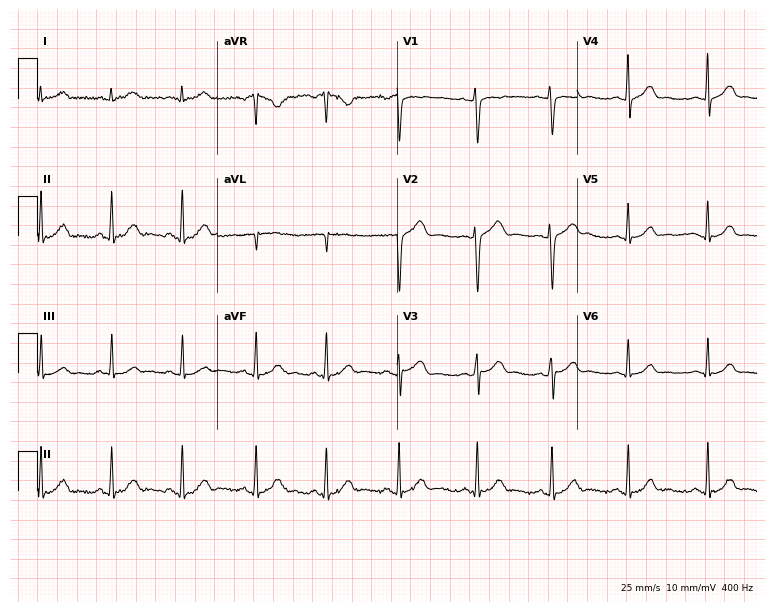
ECG (7.3-second recording at 400 Hz) — a 21-year-old female. Screened for six findings — first-degree AV block, right bundle branch block, left bundle branch block, sinus bradycardia, atrial fibrillation, sinus tachycardia — none is recorded.